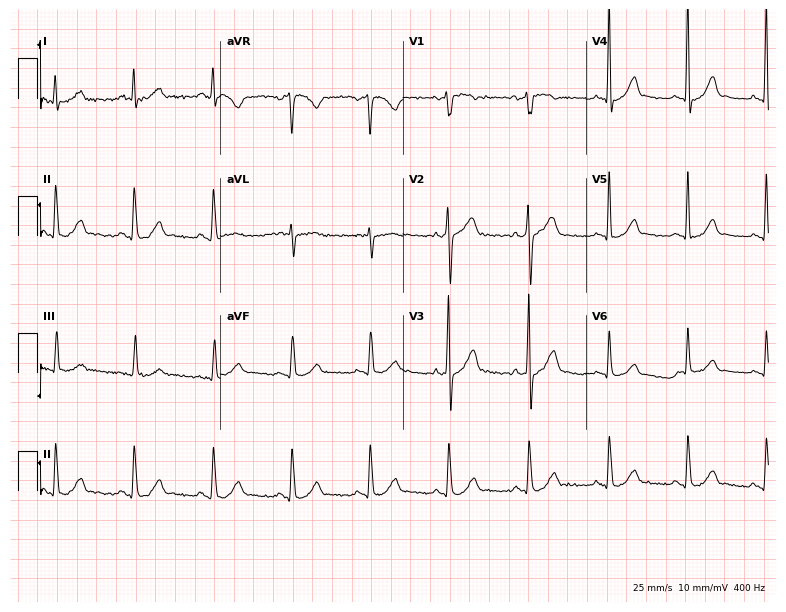
12-lead ECG (7.5-second recording at 400 Hz) from a male patient, 52 years old. Screened for six findings — first-degree AV block, right bundle branch block, left bundle branch block, sinus bradycardia, atrial fibrillation, sinus tachycardia — none is recorded.